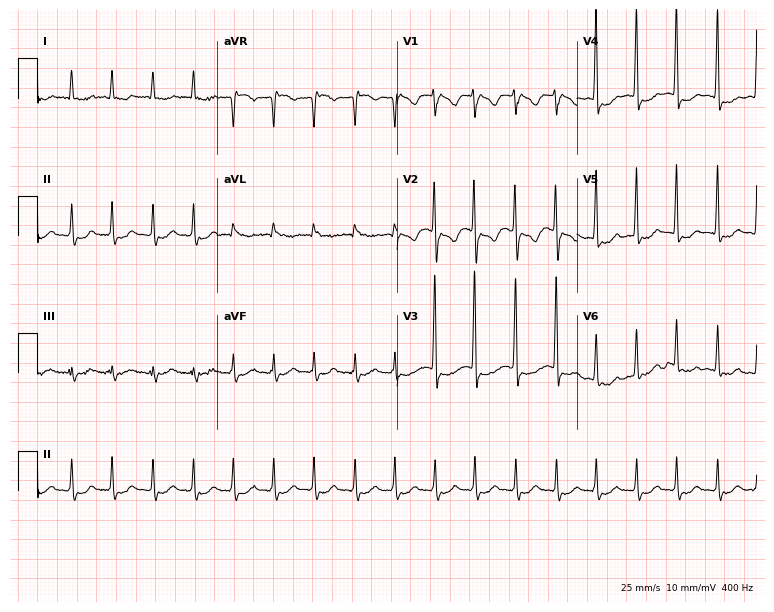
Electrocardiogram (7.3-second recording at 400 Hz), a 60-year-old female patient. Interpretation includes sinus tachycardia (a sinus rate of 100 beats per minute or more).